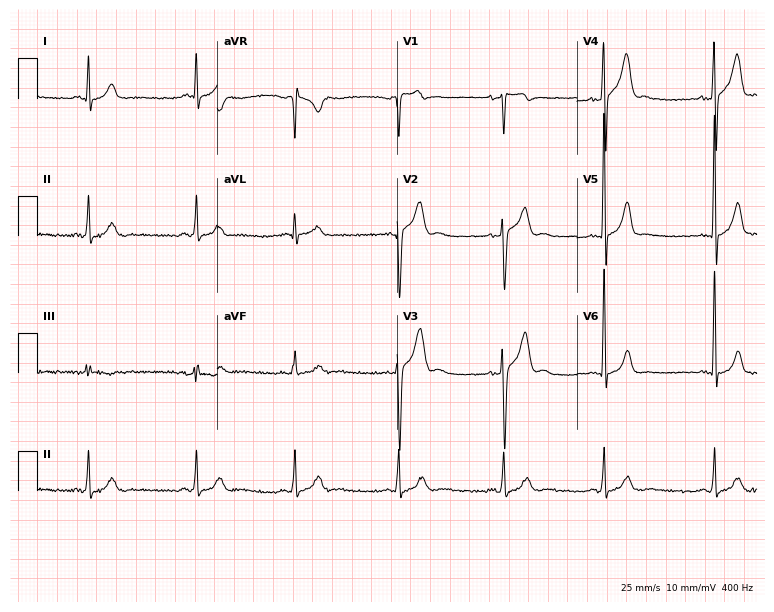
12-lead ECG (7.3-second recording at 400 Hz) from a 25-year-old man. Screened for six findings — first-degree AV block, right bundle branch block, left bundle branch block, sinus bradycardia, atrial fibrillation, sinus tachycardia — none is recorded. Other findings, if any, are not listed.